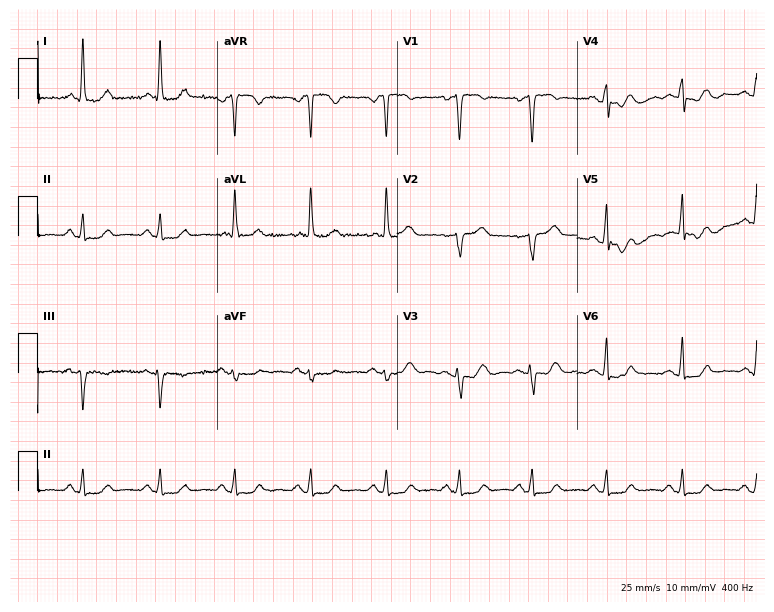
Standard 12-lead ECG recorded from a female, 42 years old. Read as a normal ECG.